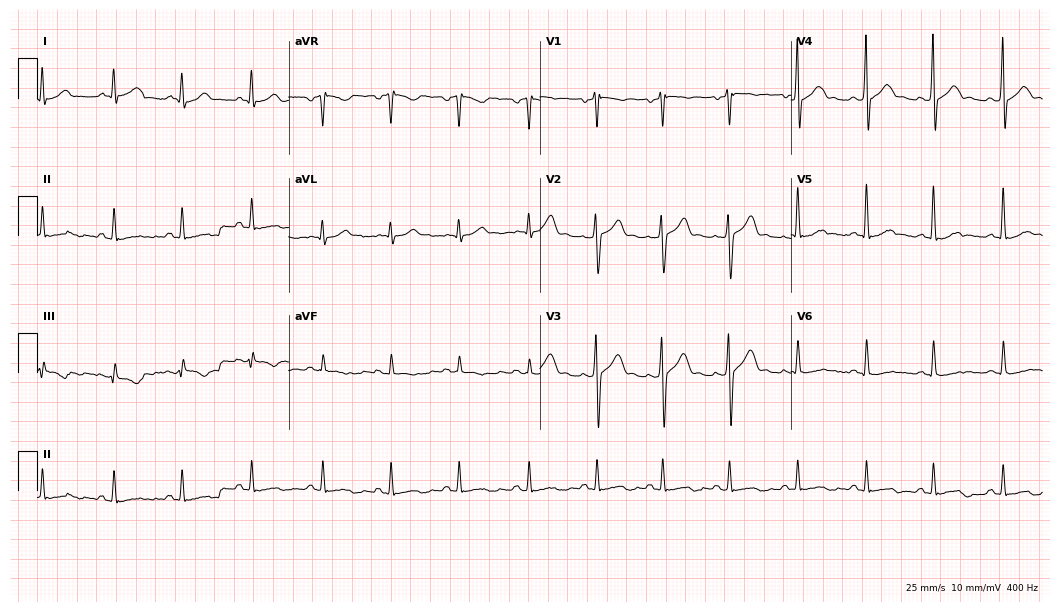
ECG — a 48-year-old man. Screened for six findings — first-degree AV block, right bundle branch block (RBBB), left bundle branch block (LBBB), sinus bradycardia, atrial fibrillation (AF), sinus tachycardia — none is recorded.